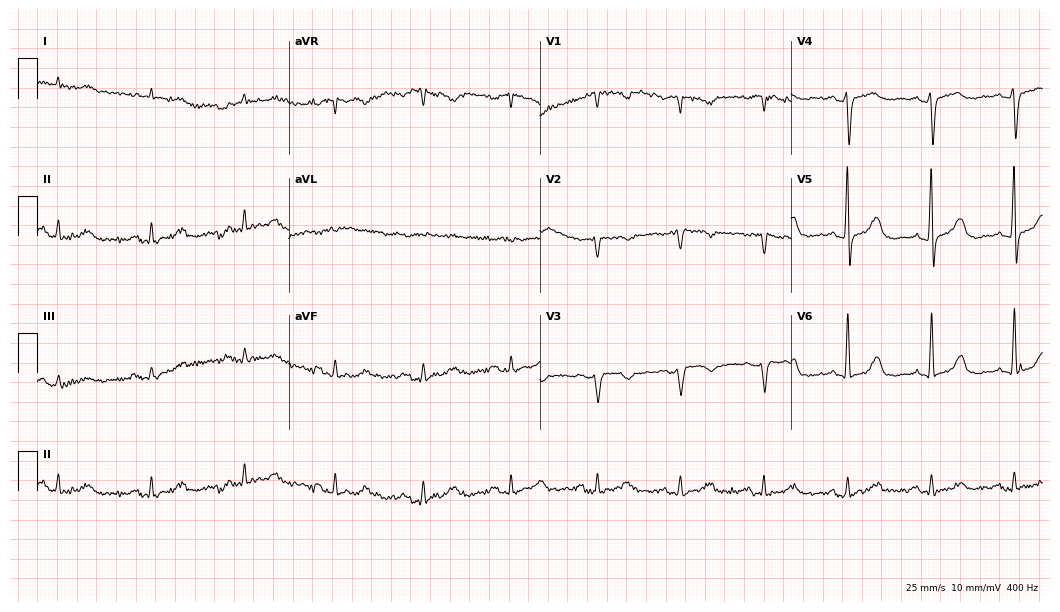
ECG (10.2-second recording at 400 Hz) — an 84-year-old female patient. Labelled as a normal ECG.